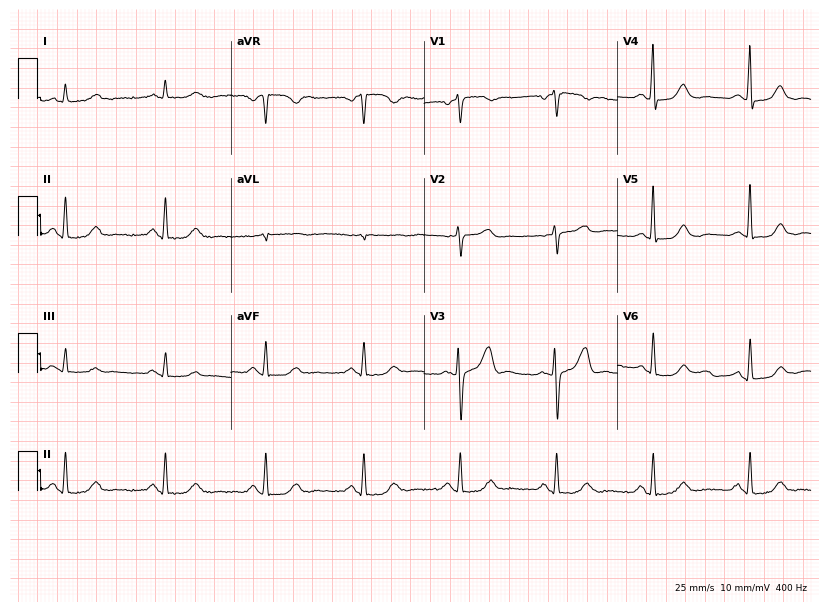
Resting 12-lead electrocardiogram. Patient: a 61-year-old female. Read as a normal ECG.